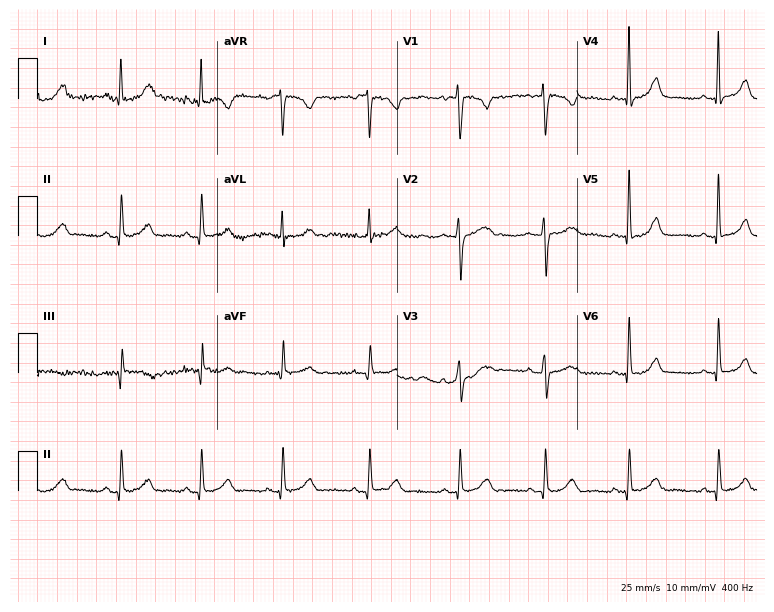
Electrocardiogram (7.3-second recording at 400 Hz), a 39-year-old woman. Of the six screened findings (first-degree AV block, right bundle branch block, left bundle branch block, sinus bradycardia, atrial fibrillation, sinus tachycardia), none is recorded. Findings outside these six are not listed.